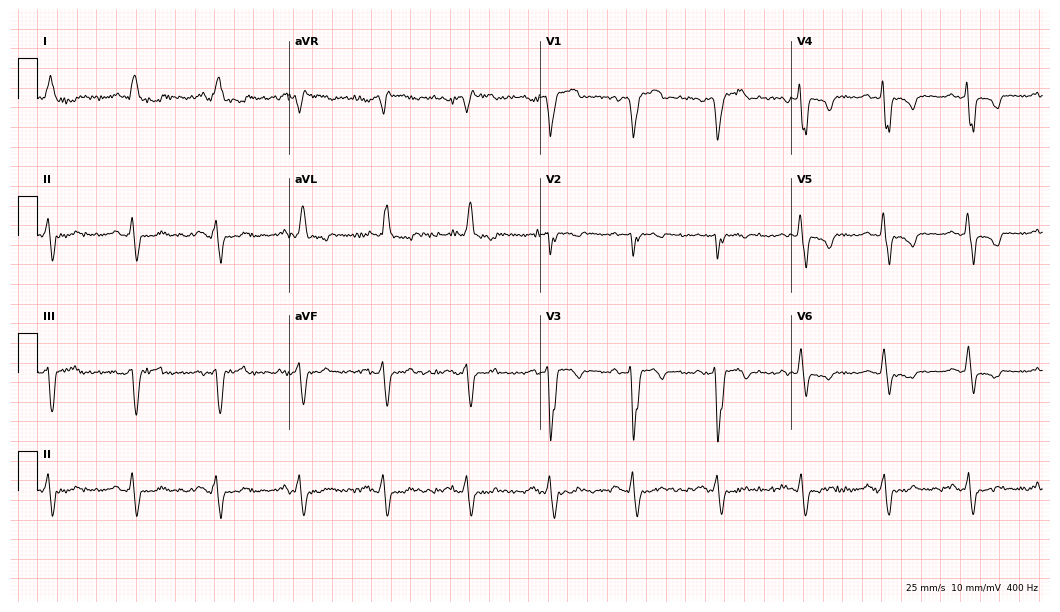
Electrocardiogram (10.2-second recording at 400 Hz), a male patient, 62 years old. Of the six screened findings (first-degree AV block, right bundle branch block (RBBB), left bundle branch block (LBBB), sinus bradycardia, atrial fibrillation (AF), sinus tachycardia), none is recorded.